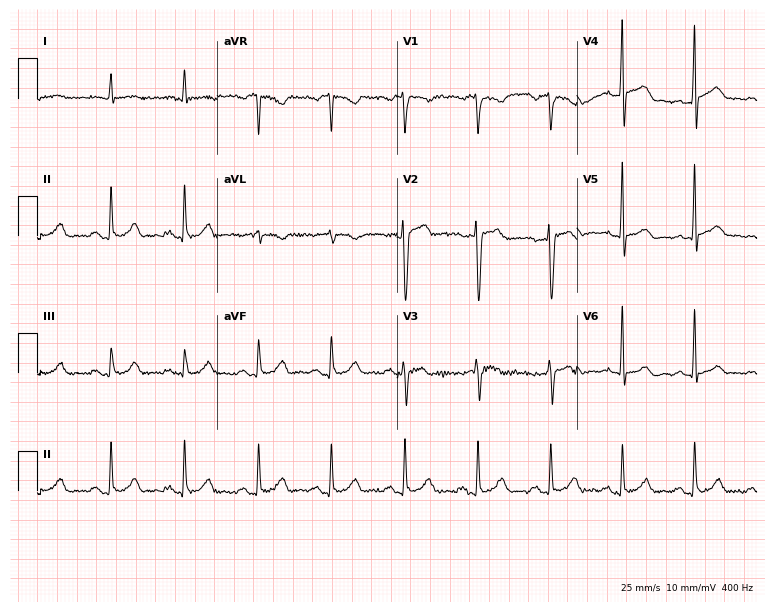
Standard 12-lead ECG recorded from a man, 73 years old (7.3-second recording at 400 Hz). Read as a normal ECG.